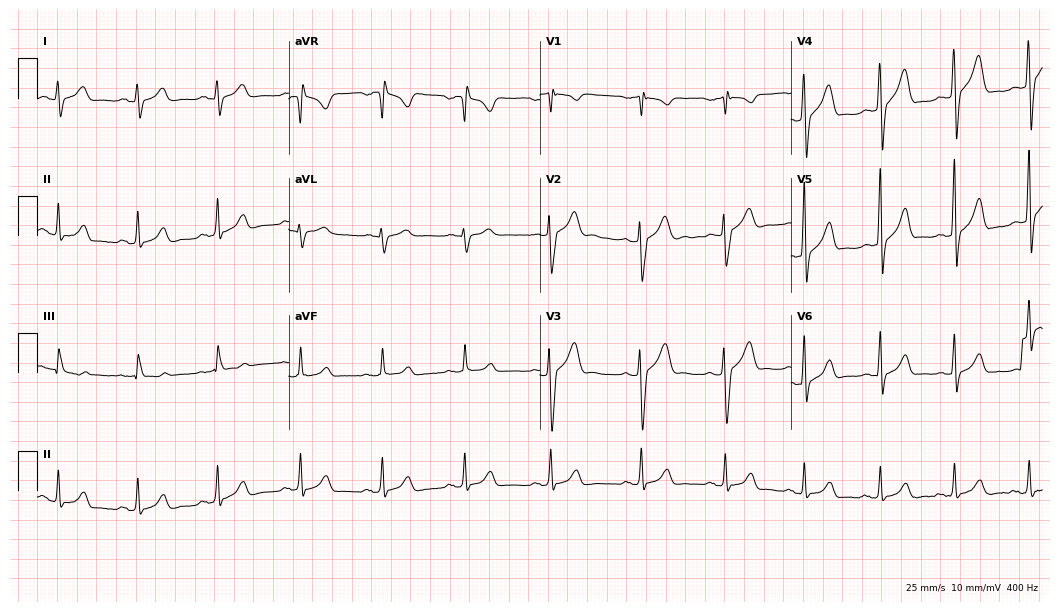
Electrocardiogram, a man, 19 years old. Overall reading on record: normal ECG.